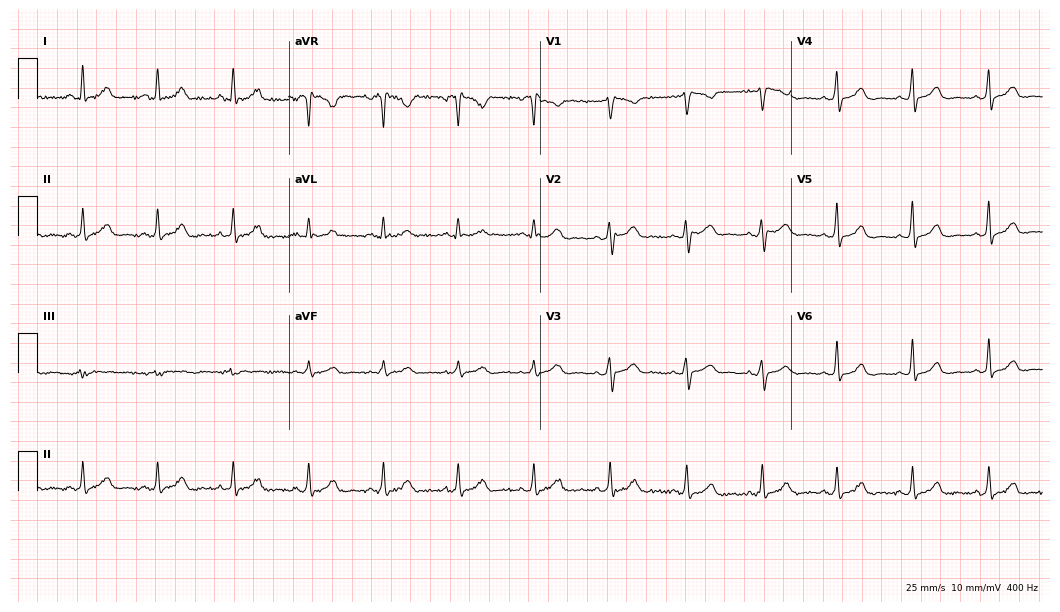
Electrocardiogram, a female patient, 44 years old. Overall reading on record: normal ECG.